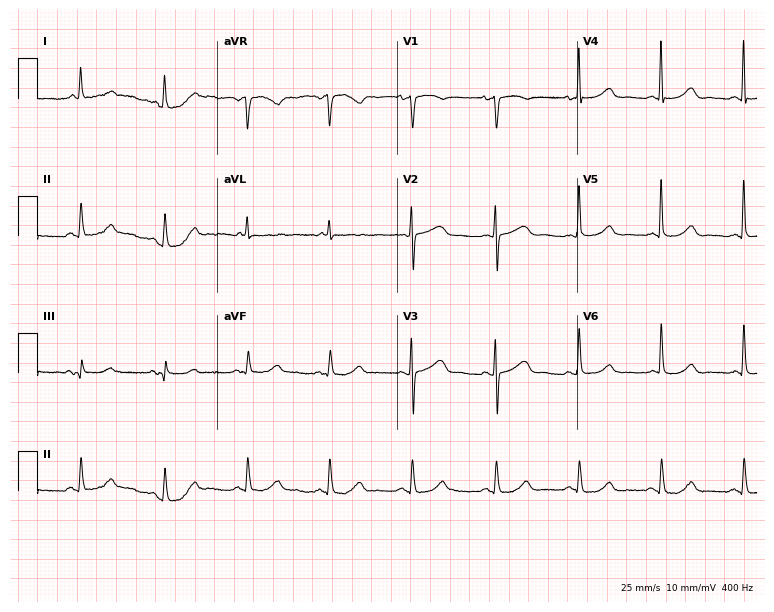
Electrocardiogram, a woman, 77 years old. Of the six screened findings (first-degree AV block, right bundle branch block, left bundle branch block, sinus bradycardia, atrial fibrillation, sinus tachycardia), none is recorded.